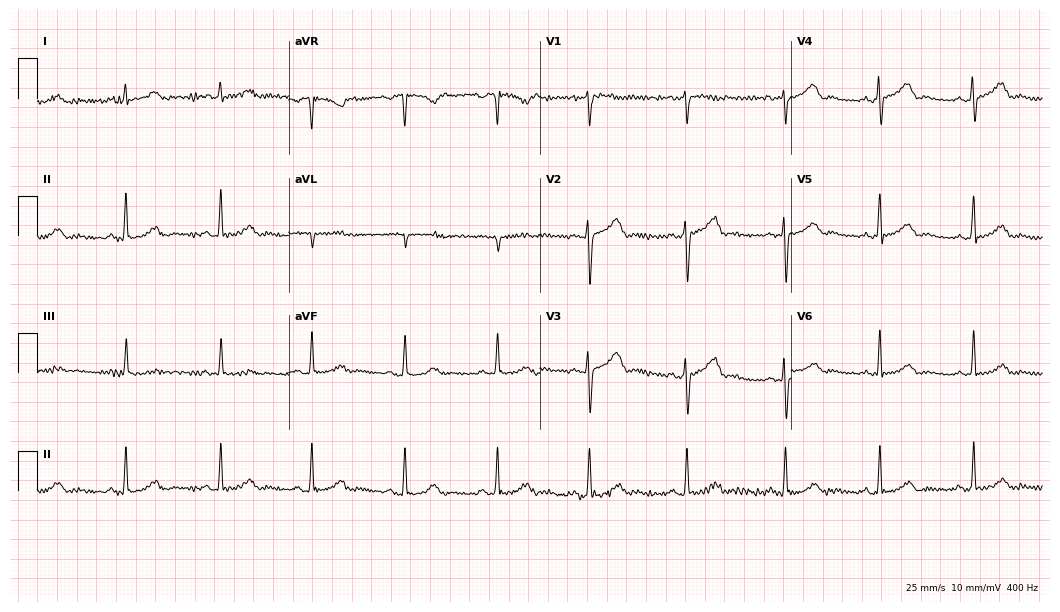
ECG — a 35-year-old woman. Labelled as a normal ECG.